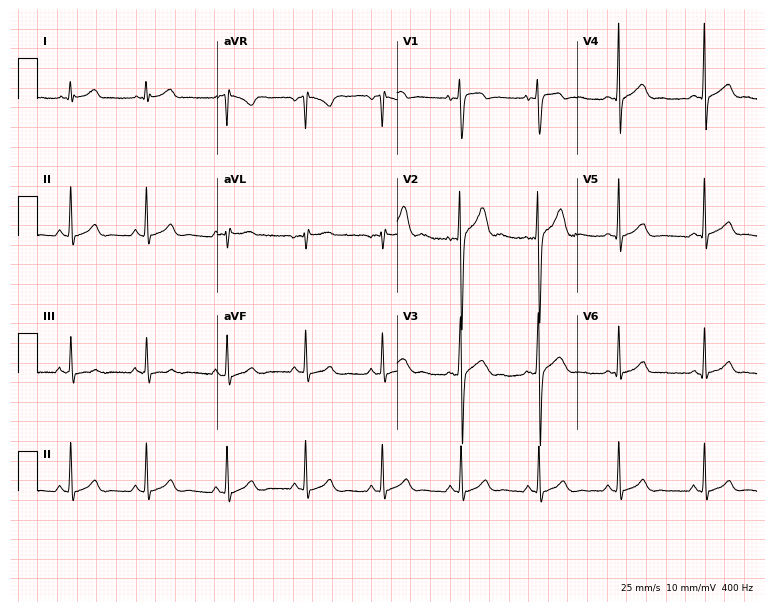
ECG (7.3-second recording at 400 Hz) — an 18-year-old male. Labelled as a normal ECG.